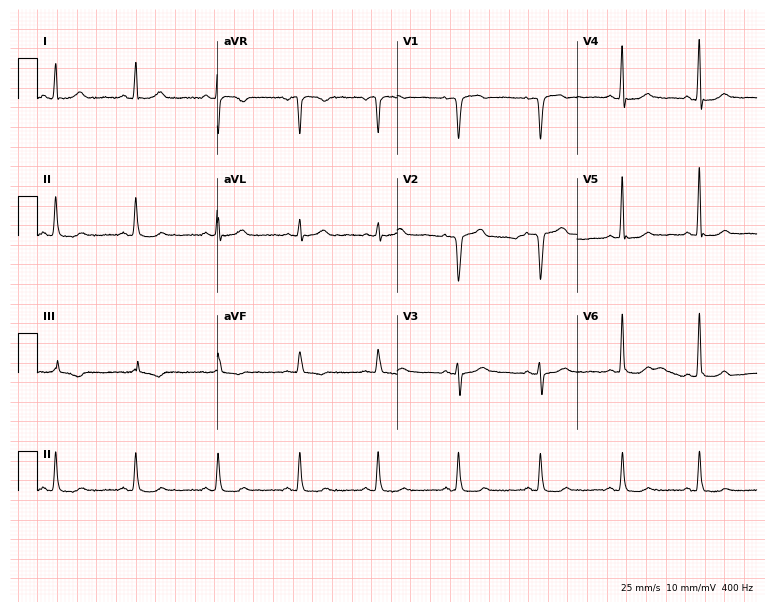
ECG (7.3-second recording at 400 Hz) — a woman, 49 years old. Labelled as a normal ECG.